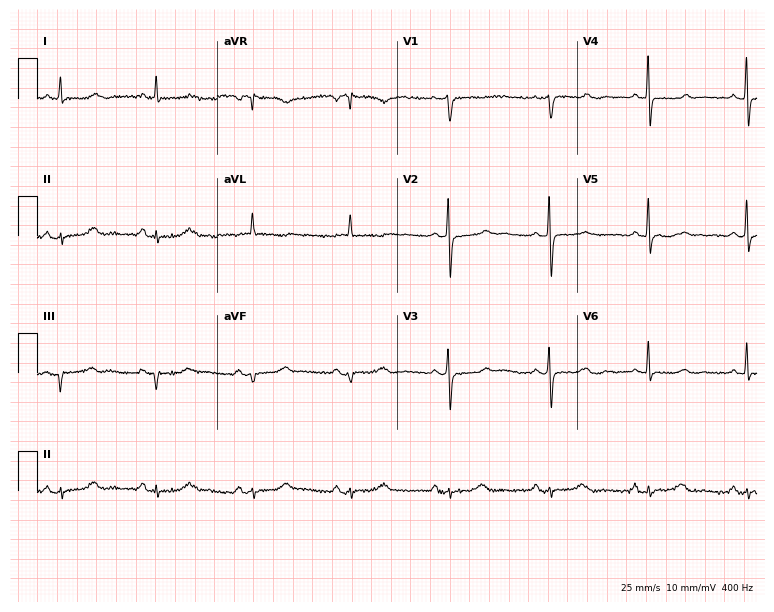
ECG — a female, 61 years old. Labelled as a normal ECG.